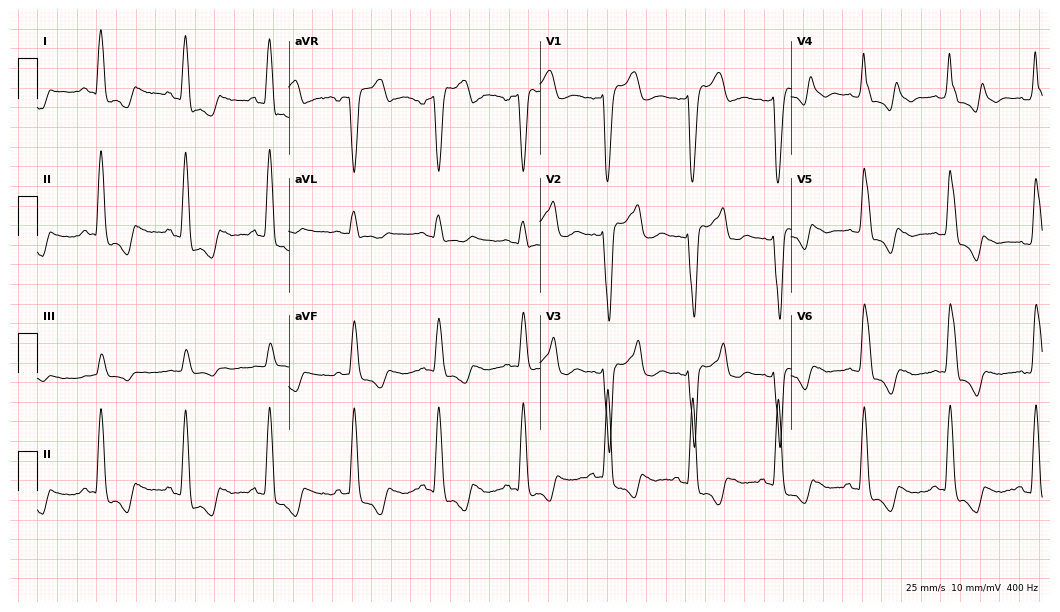
12-lead ECG from a 69-year-old female. No first-degree AV block, right bundle branch block (RBBB), left bundle branch block (LBBB), sinus bradycardia, atrial fibrillation (AF) or sinus tachycardia recorded for this tracing. Other findings, if any, are not listed.